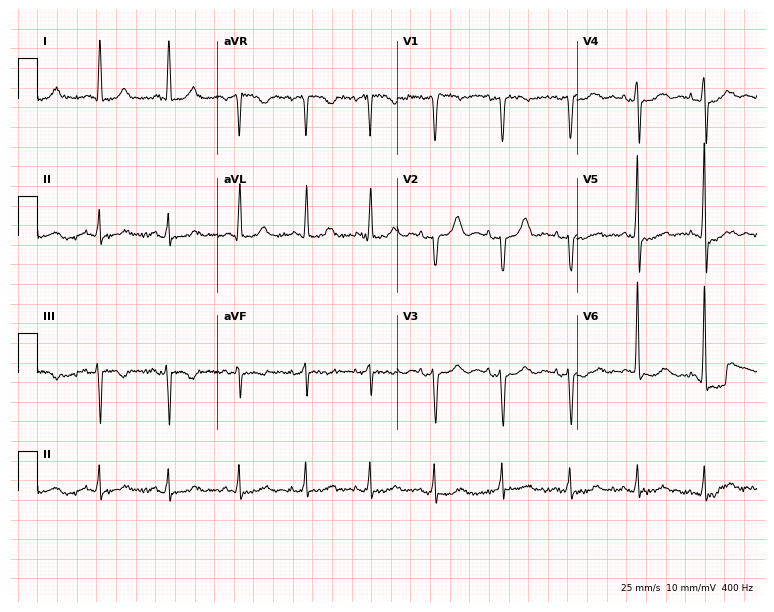
12-lead ECG (7.3-second recording at 400 Hz) from a female, 74 years old. Screened for six findings — first-degree AV block, right bundle branch block, left bundle branch block, sinus bradycardia, atrial fibrillation, sinus tachycardia — none is recorded.